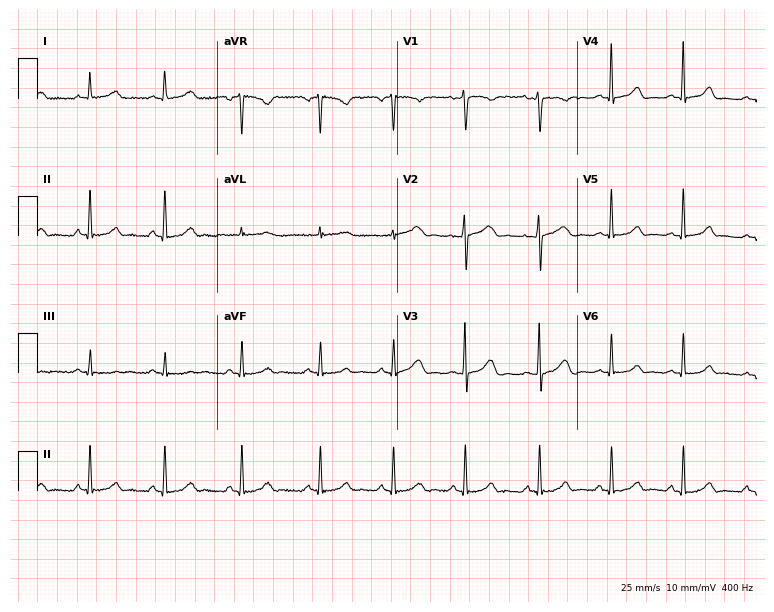
Electrocardiogram (7.3-second recording at 400 Hz), a 37-year-old female patient. Overall reading on record: normal ECG.